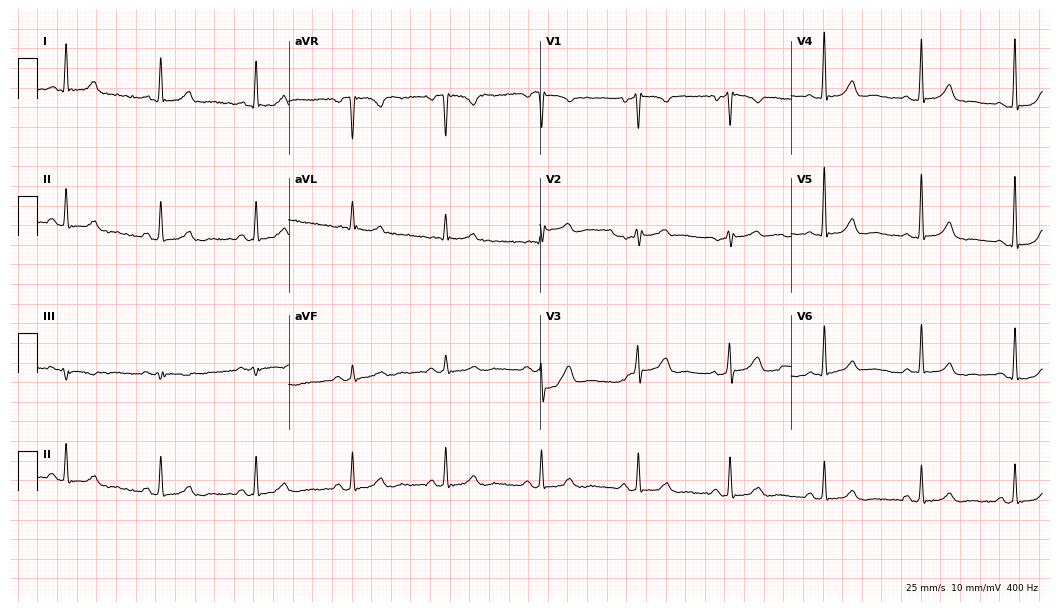
Resting 12-lead electrocardiogram (10.2-second recording at 400 Hz). Patient: a 49-year-old female. Read as a normal ECG.